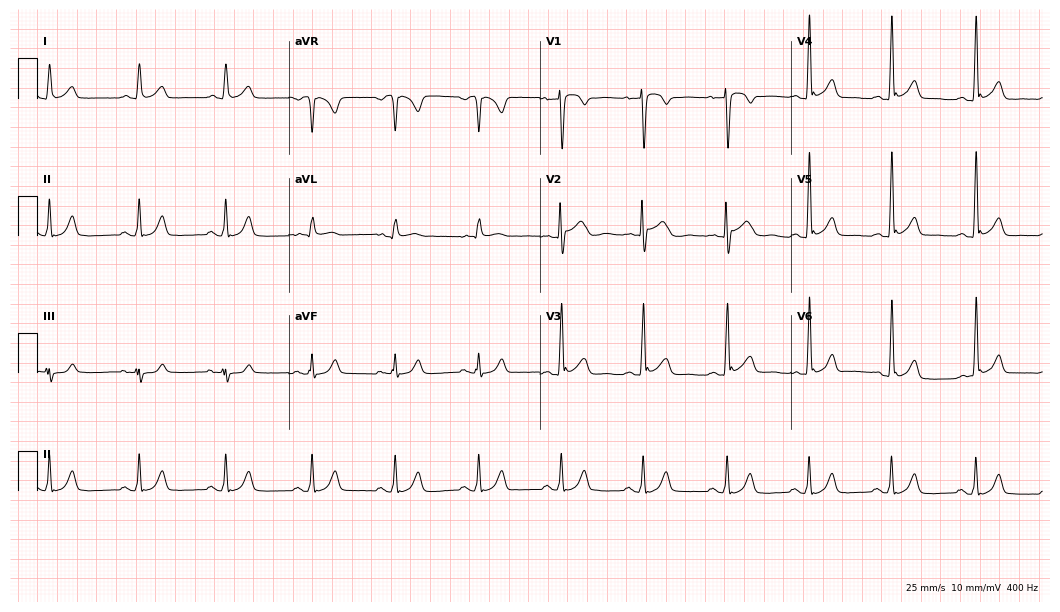
12-lead ECG from a male, 19 years old (10.2-second recording at 400 Hz). Recorded interpretation: within normal limits.